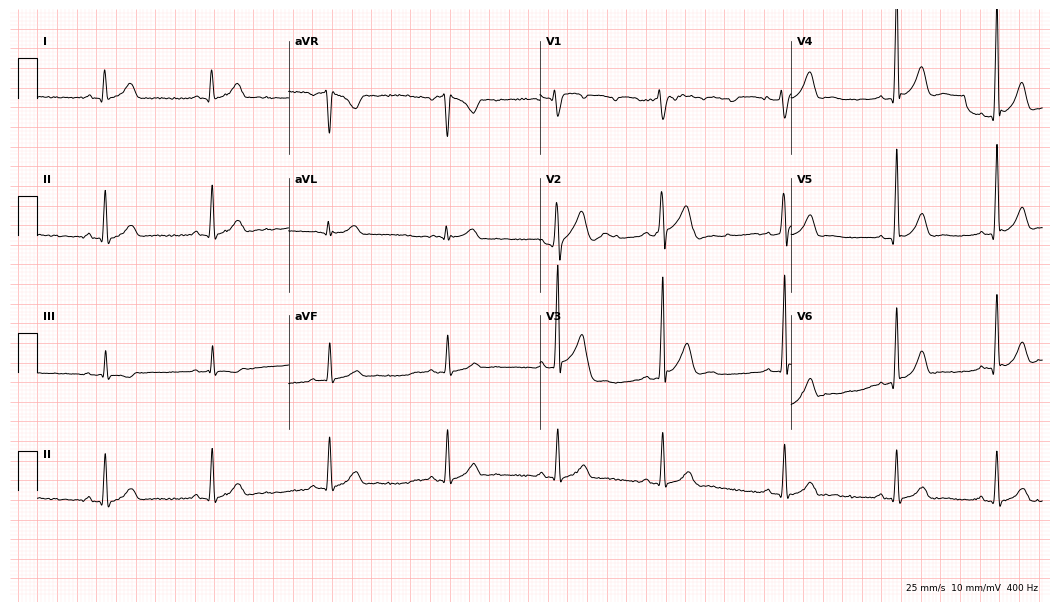
Electrocardiogram, a male patient, 28 years old. Overall reading on record: normal ECG.